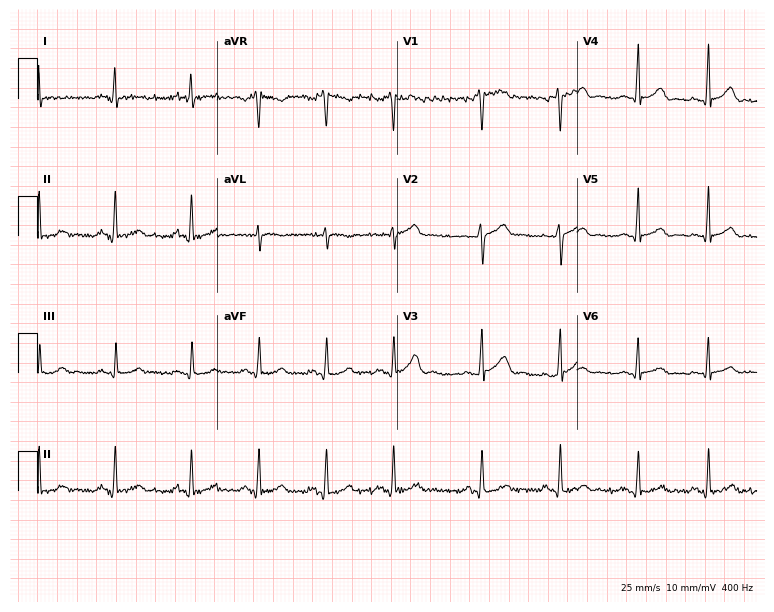
12-lead ECG from a man, 44 years old. Labelled as a normal ECG.